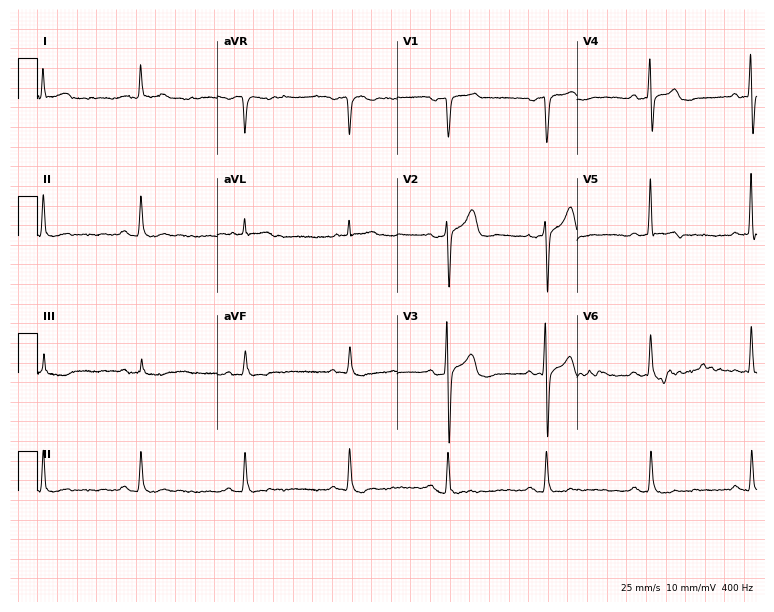
ECG — a 71-year-old male patient. Screened for six findings — first-degree AV block, right bundle branch block, left bundle branch block, sinus bradycardia, atrial fibrillation, sinus tachycardia — none is recorded.